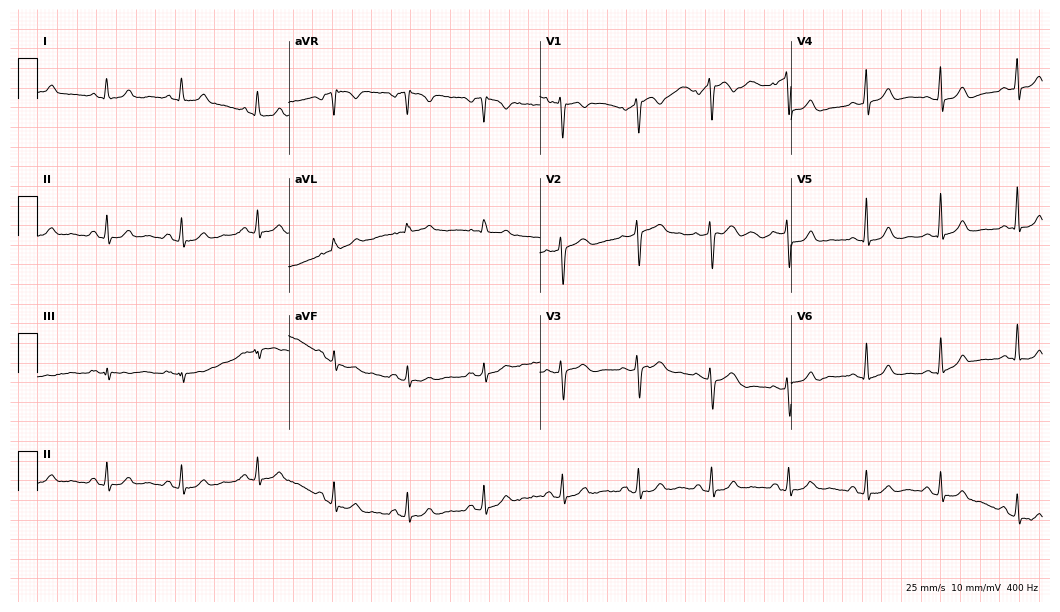
Standard 12-lead ECG recorded from a female patient, 32 years old. Read as a normal ECG.